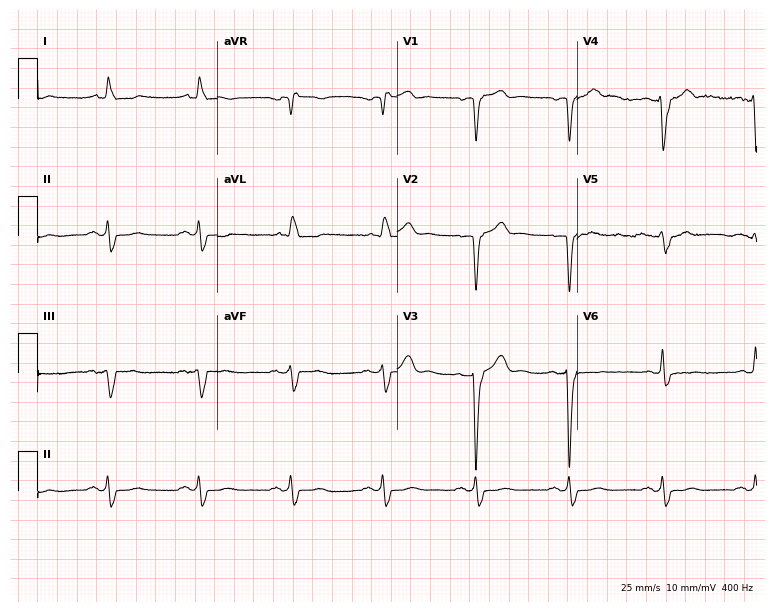
12-lead ECG from a male patient, 73 years old (7.3-second recording at 400 Hz). Shows right bundle branch block.